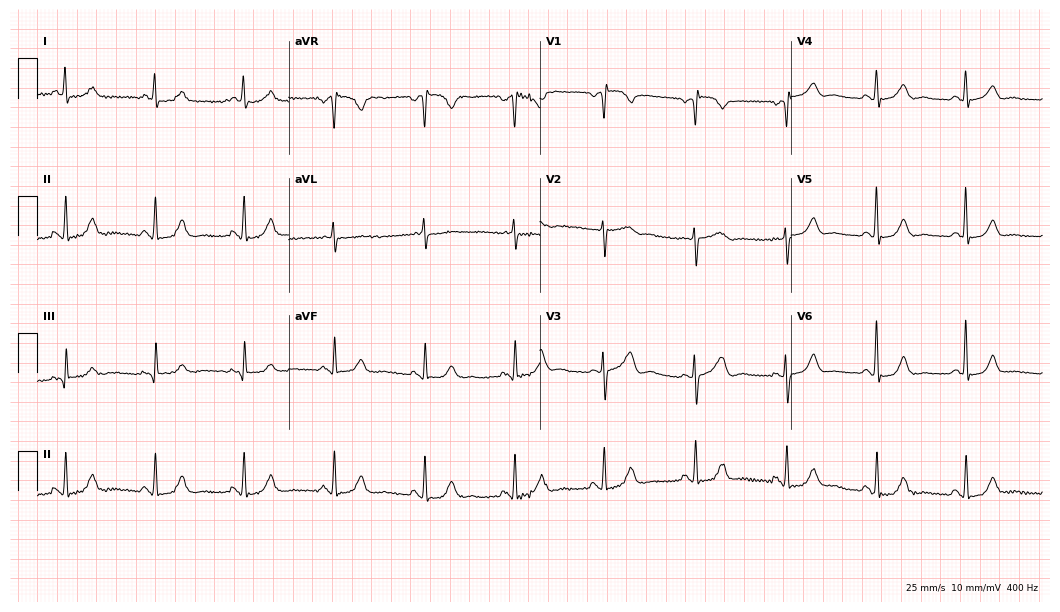
Resting 12-lead electrocardiogram (10.2-second recording at 400 Hz). Patient: a woman, 58 years old. Read as a normal ECG.